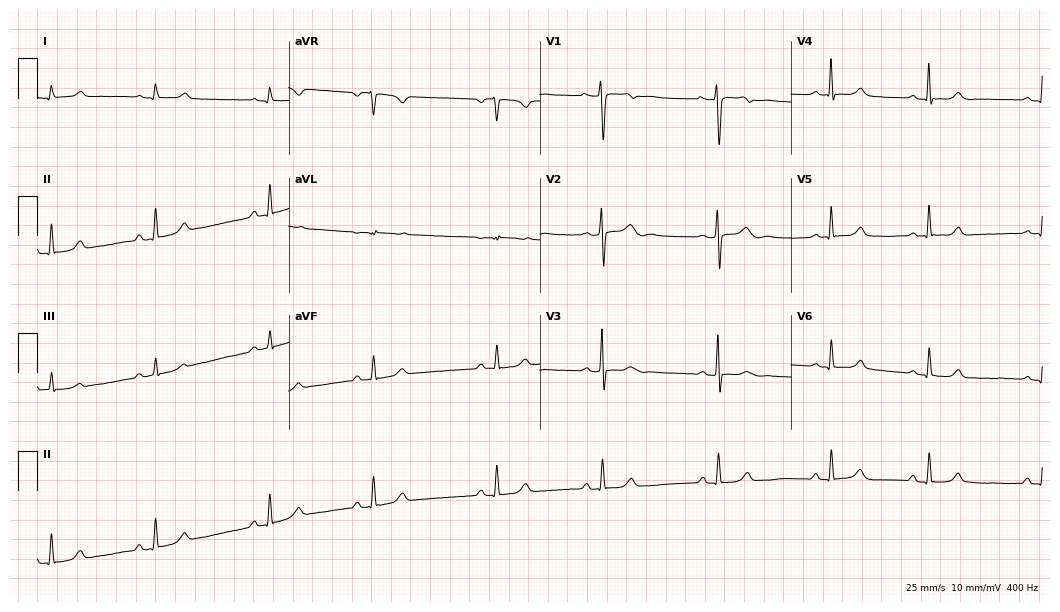
Standard 12-lead ECG recorded from a 25-year-old female patient. Read as a normal ECG.